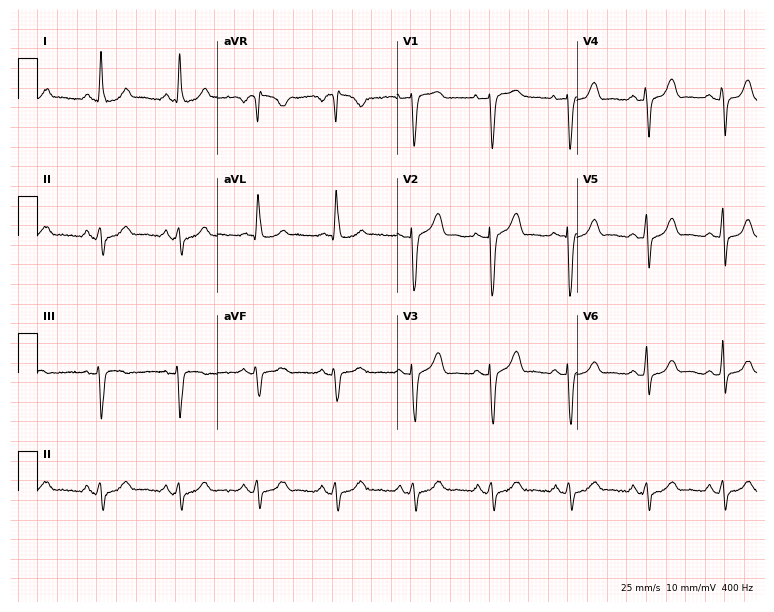
Resting 12-lead electrocardiogram (7.3-second recording at 400 Hz). Patient: a female, 50 years old. None of these six findings is recorded: first-degree AV block, right bundle branch block, left bundle branch block, sinus bradycardia, atrial fibrillation, sinus tachycardia. Only these six findings were labelled.